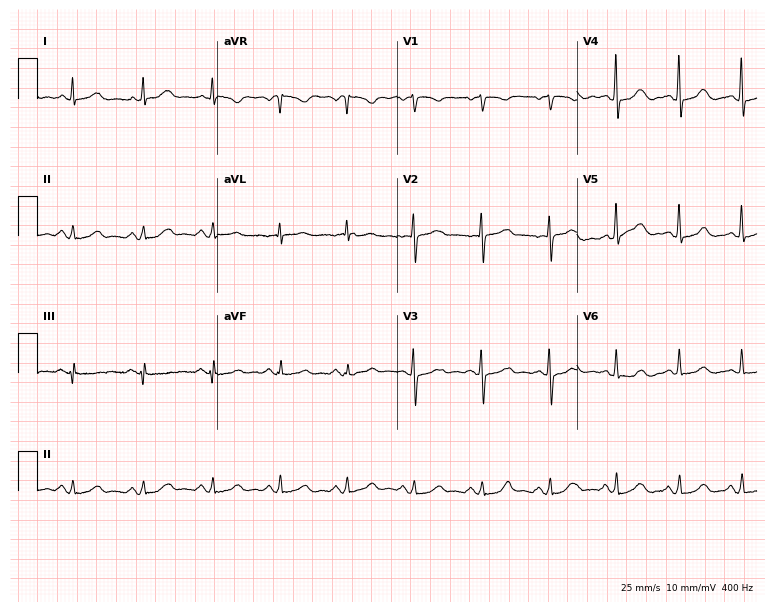
Electrocardiogram, a woman, 61 years old. Overall reading on record: normal ECG.